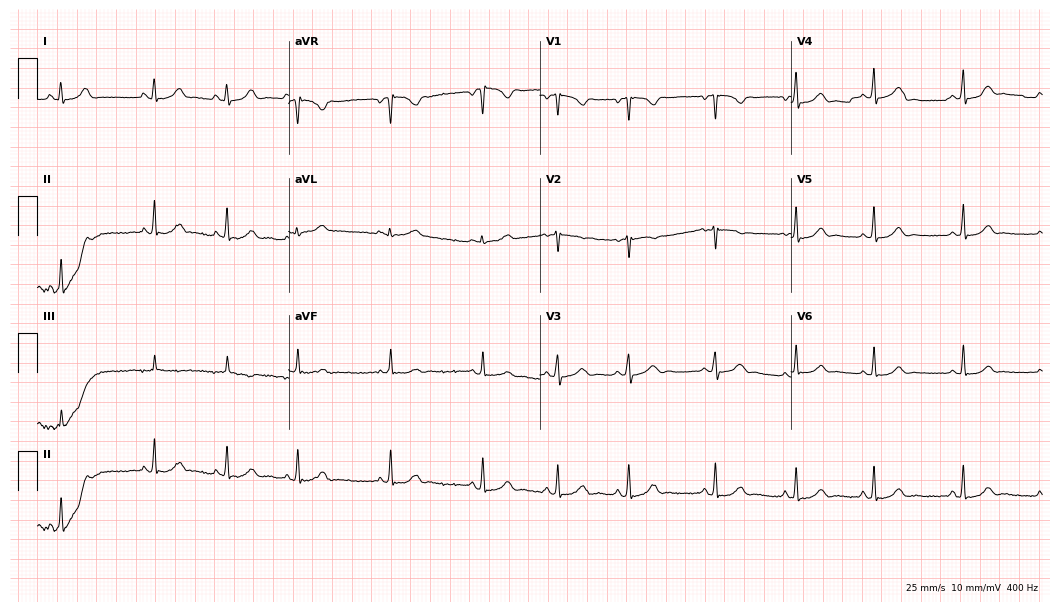
Electrocardiogram, a female patient, 19 years old. Overall reading on record: normal ECG.